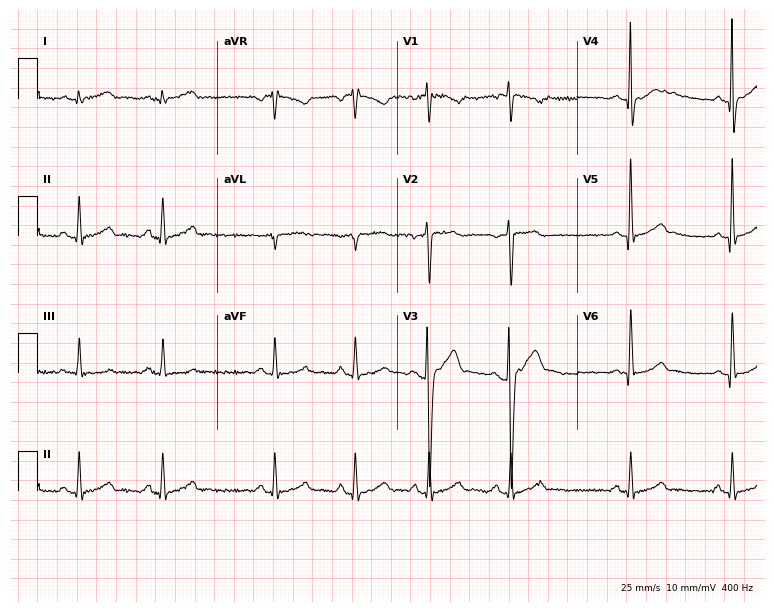
12-lead ECG (7.3-second recording at 400 Hz) from a male, 23 years old. Labelled as a normal ECG.